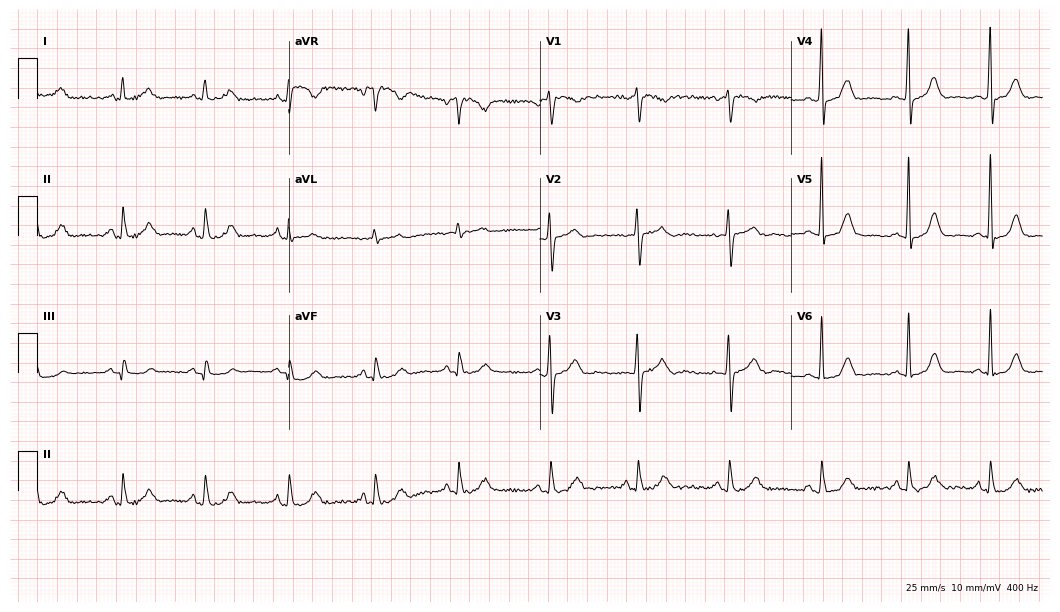
Standard 12-lead ECG recorded from a woman, 35 years old. Read as a normal ECG.